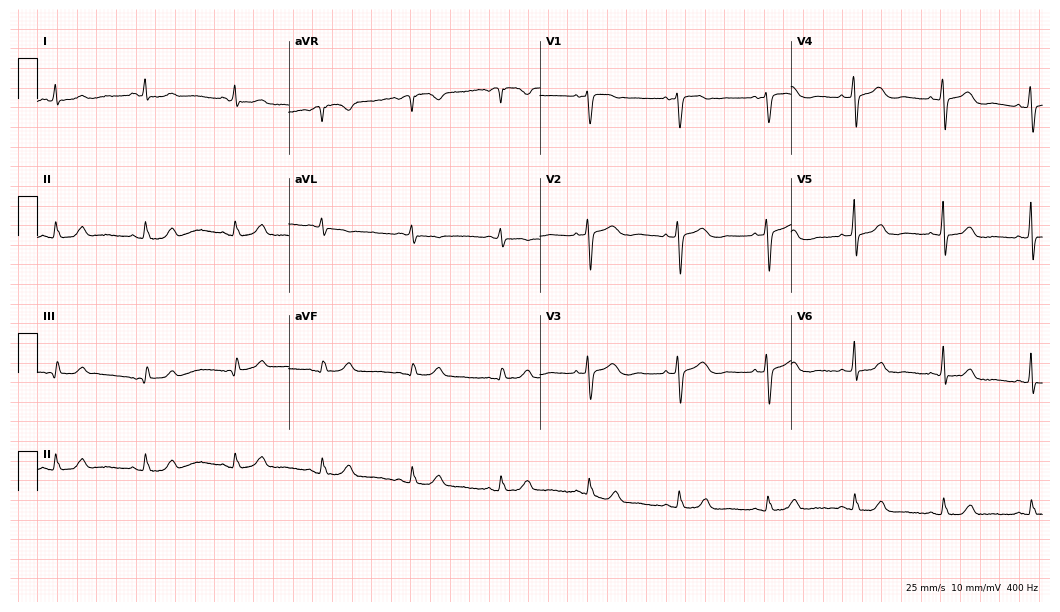
Resting 12-lead electrocardiogram (10.2-second recording at 400 Hz). Patient: a 60-year-old female. Read as a normal ECG.